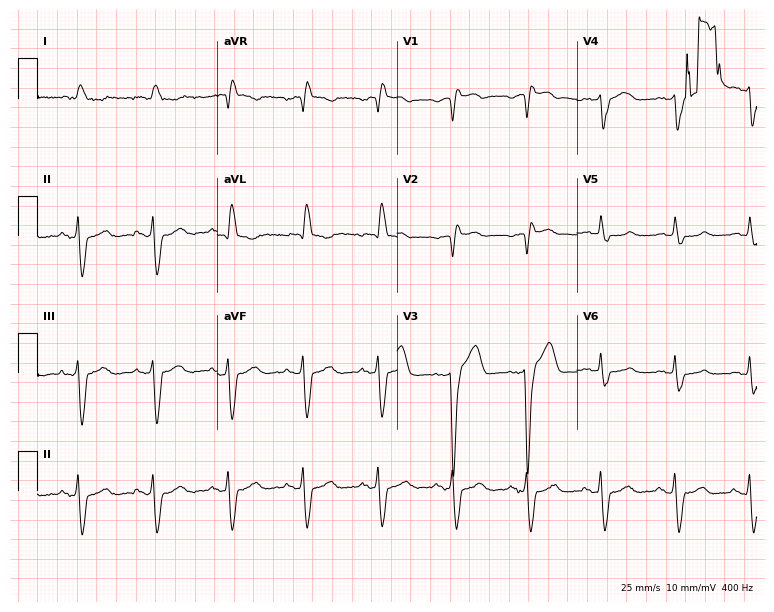
12-lead ECG from an 81-year-old man (7.3-second recording at 400 Hz). Shows right bundle branch block (RBBB).